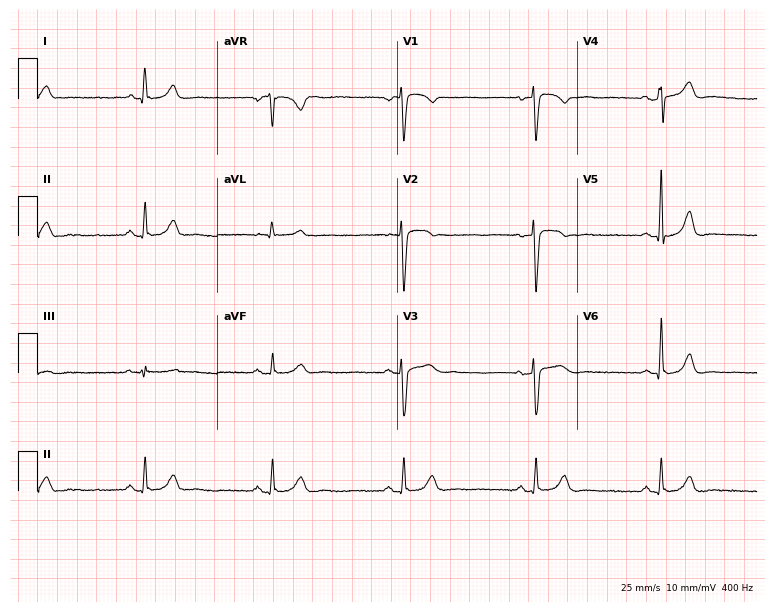
12-lead ECG (7.3-second recording at 400 Hz) from a 47-year-old woman. Findings include sinus bradycardia (a sinus rate of 50 beats per minute or less).